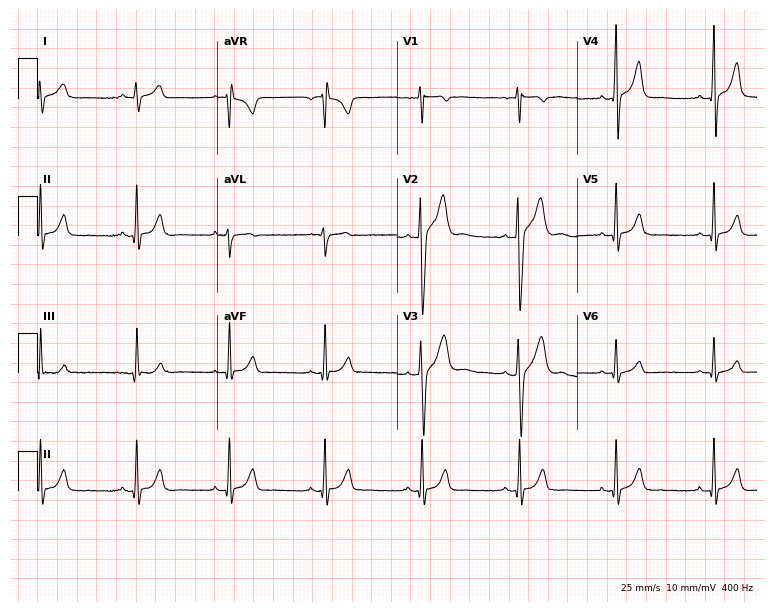
Resting 12-lead electrocardiogram. Patient: a male, 29 years old. Read as a normal ECG.